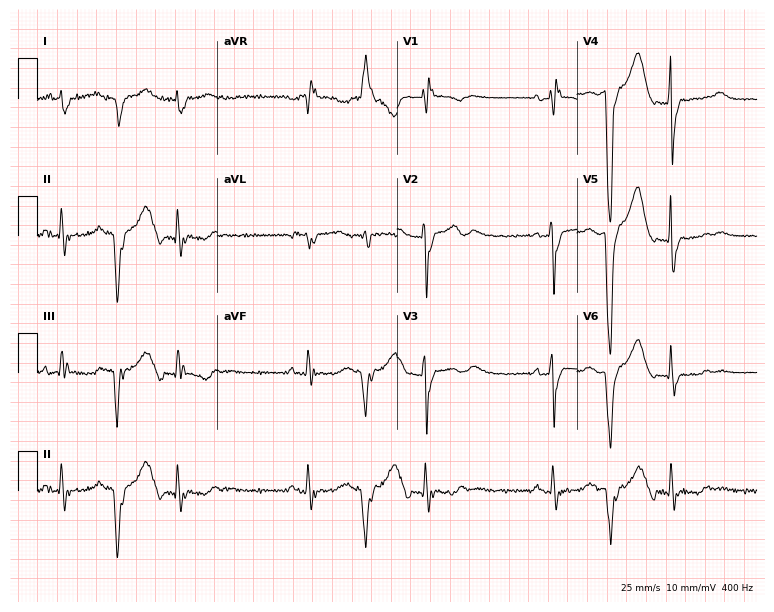
Standard 12-lead ECG recorded from a woman, 63 years old. None of these six findings is recorded: first-degree AV block, right bundle branch block, left bundle branch block, sinus bradycardia, atrial fibrillation, sinus tachycardia.